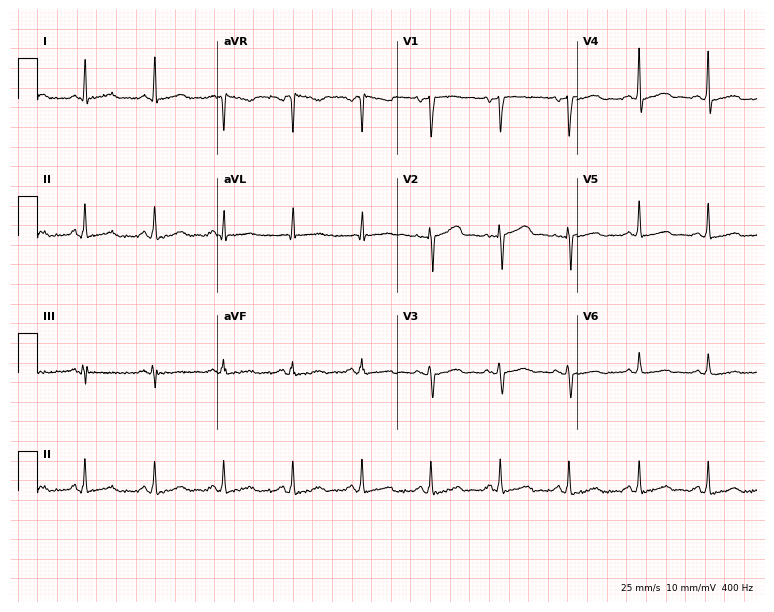
Resting 12-lead electrocardiogram. Patient: a female, 50 years old. None of these six findings is recorded: first-degree AV block, right bundle branch block (RBBB), left bundle branch block (LBBB), sinus bradycardia, atrial fibrillation (AF), sinus tachycardia.